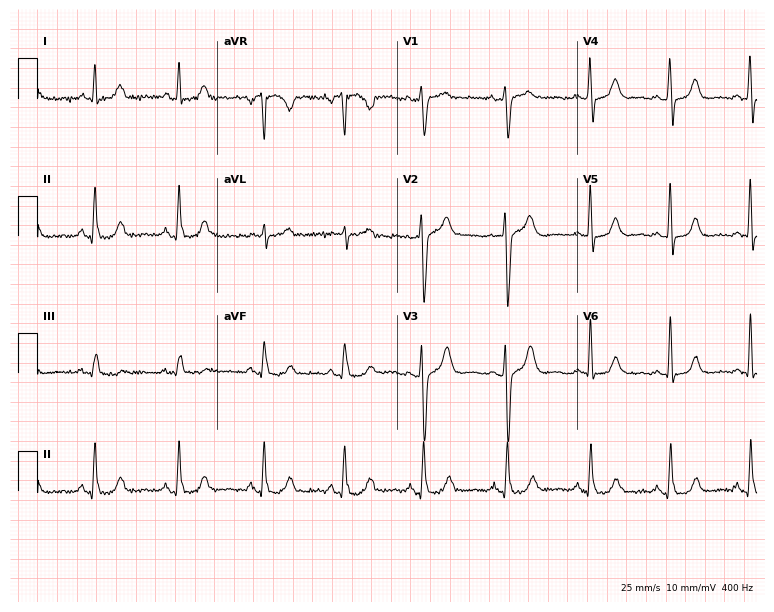
Electrocardiogram (7.3-second recording at 400 Hz), a 58-year-old female. Overall reading on record: normal ECG.